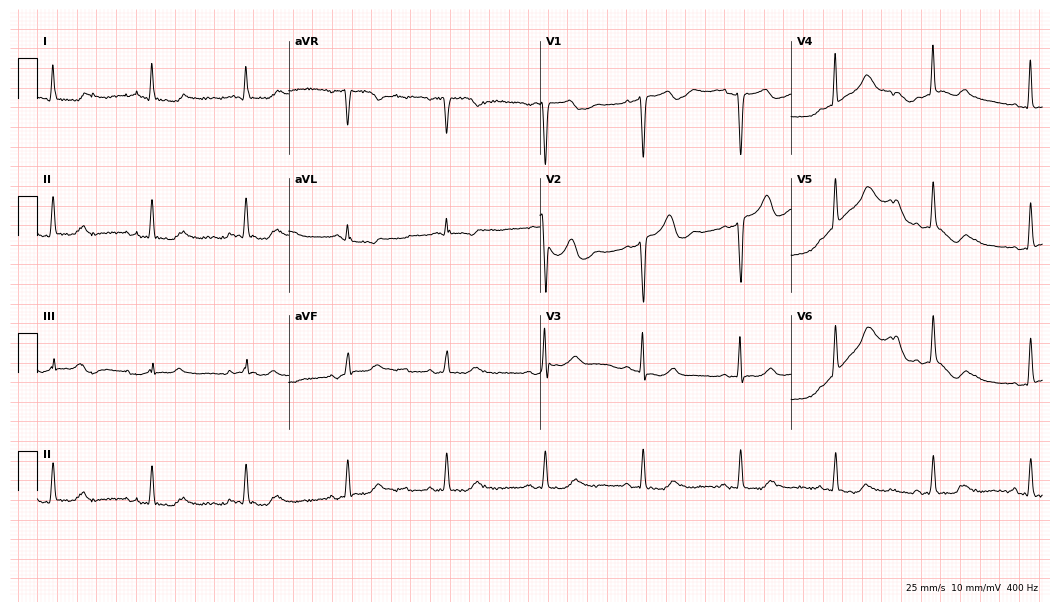
ECG — a woman, 82 years old. Screened for six findings — first-degree AV block, right bundle branch block, left bundle branch block, sinus bradycardia, atrial fibrillation, sinus tachycardia — none is recorded.